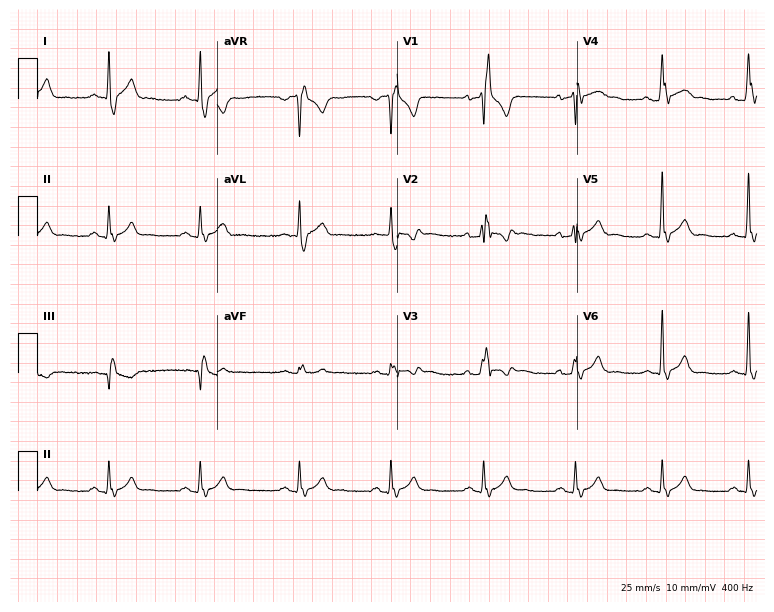
12-lead ECG from a 34-year-old male. Findings include right bundle branch block.